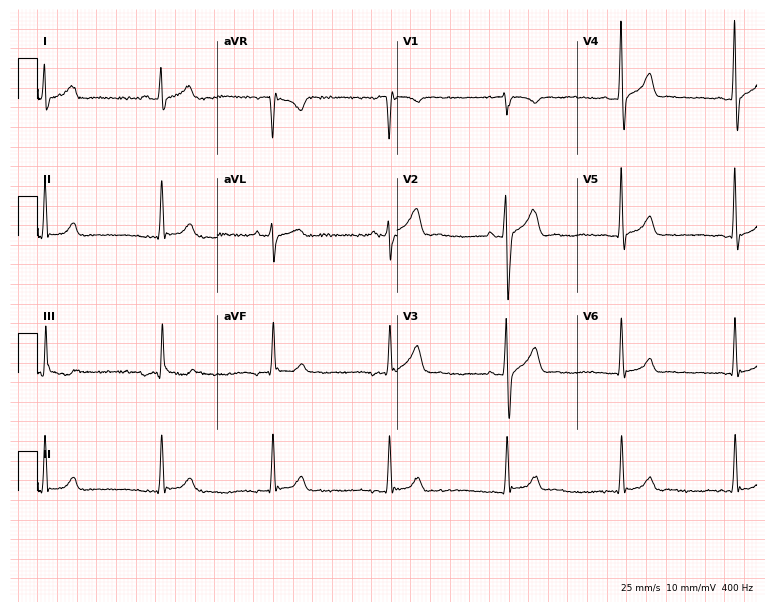
Electrocardiogram, a 34-year-old man. Overall reading on record: normal ECG.